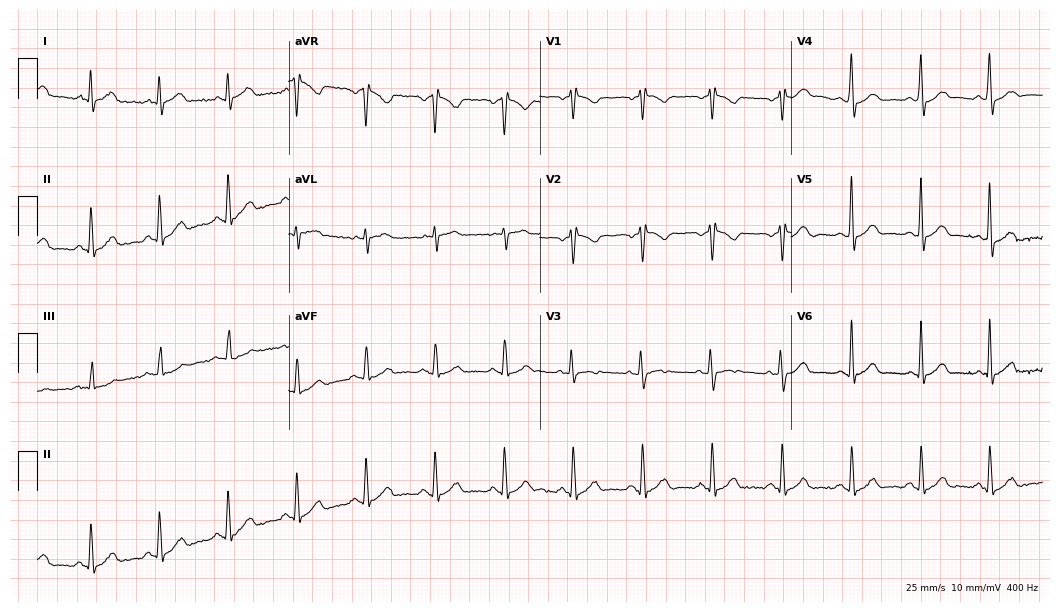
ECG (10.2-second recording at 400 Hz) — a 66-year-old male patient. Labelled as a normal ECG.